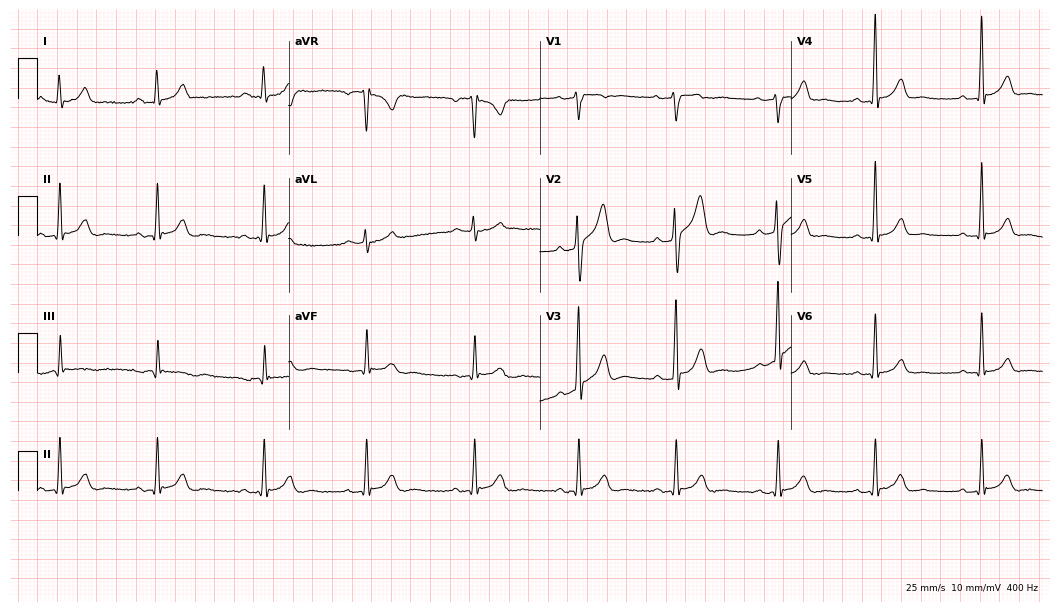
12-lead ECG from a 34-year-old male. Labelled as a normal ECG.